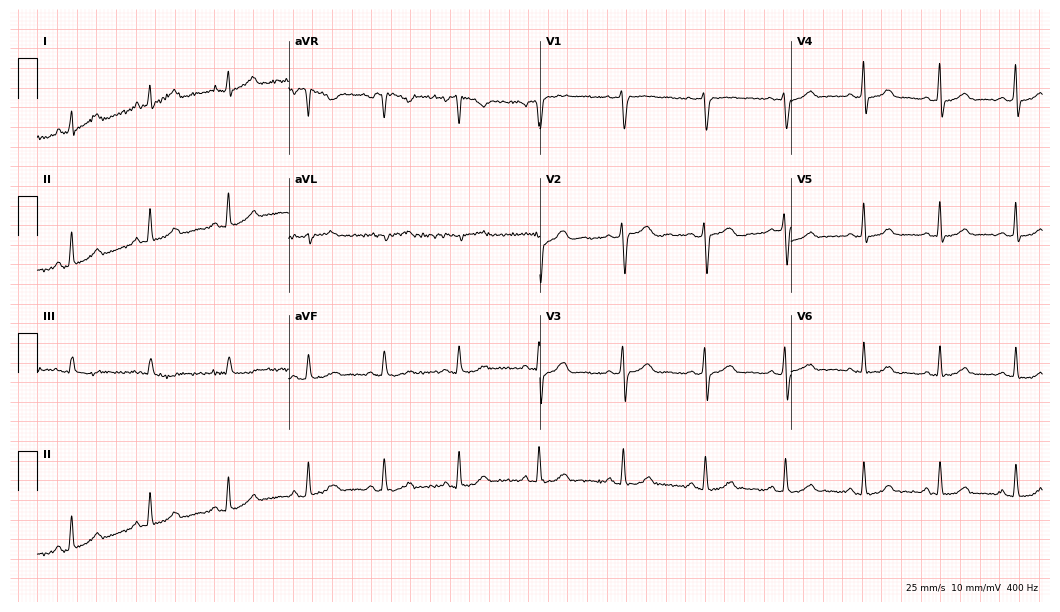
ECG (10.2-second recording at 400 Hz) — a 43-year-old female. Labelled as a normal ECG.